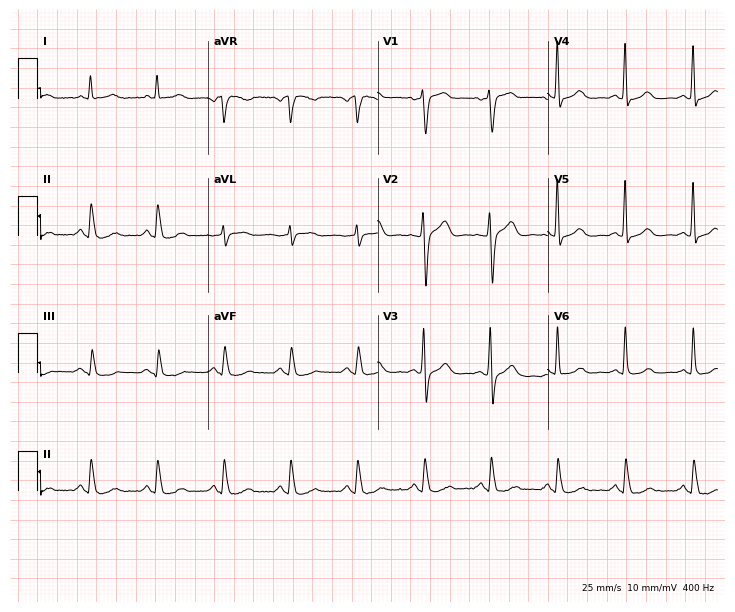
12-lead ECG from a male, 60 years old. Labelled as a normal ECG.